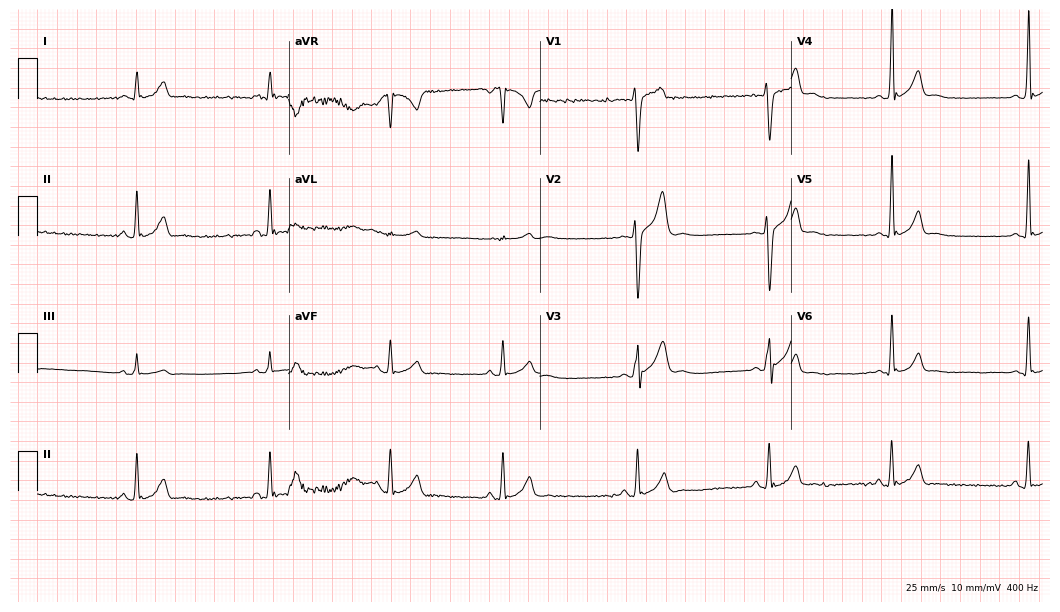
12-lead ECG from a male, 21 years old. Findings include sinus bradycardia (a sinus rate of 50 beats per minute or less).